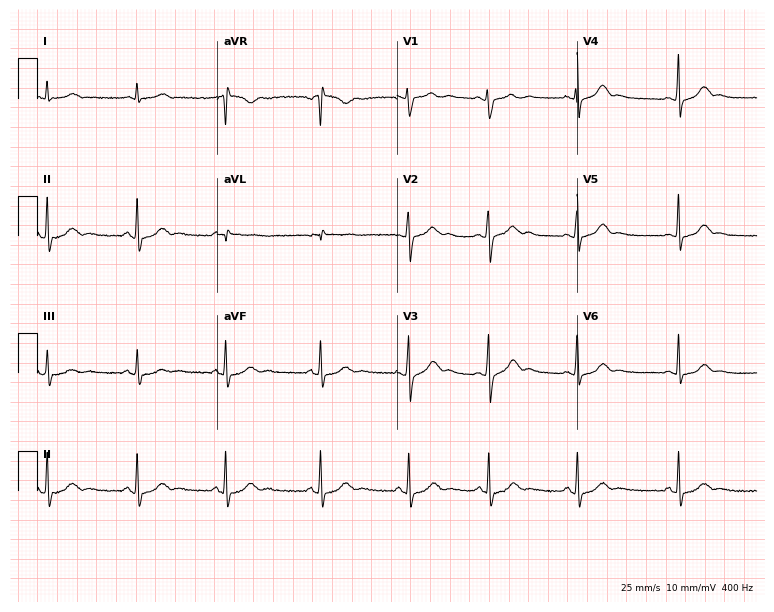
Resting 12-lead electrocardiogram (7.3-second recording at 400 Hz). Patient: a 17-year-old woman. Read as a normal ECG.